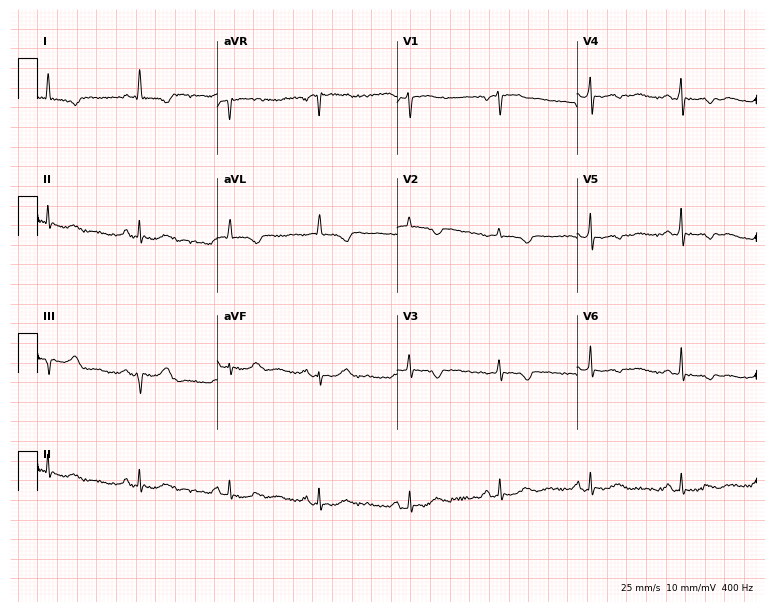
Standard 12-lead ECG recorded from a female, 72 years old (7.3-second recording at 400 Hz). None of these six findings is recorded: first-degree AV block, right bundle branch block (RBBB), left bundle branch block (LBBB), sinus bradycardia, atrial fibrillation (AF), sinus tachycardia.